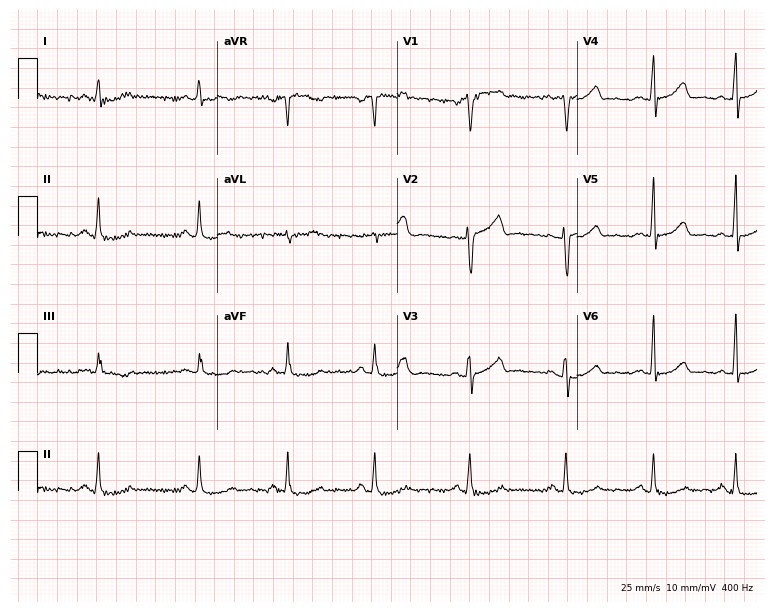
ECG (7.3-second recording at 400 Hz) — a female, 38 years old. Screened for six findings — first-degree AV block, right bundle branch block (RBBB), left bundle branch block (LBBB), sinus bradycardia, atrial fibrillation (AF), sinus tachycardia — none is recorded.